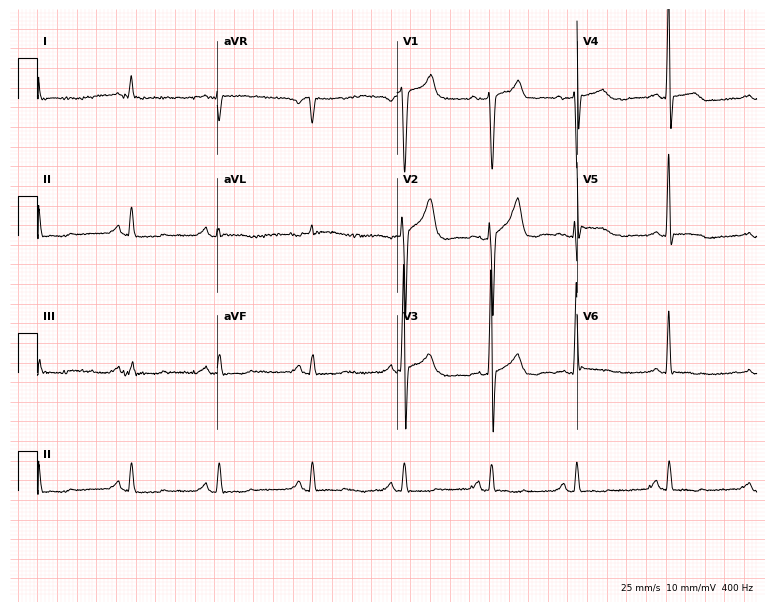
ECG — a 77-year-old female patient. Screened for six findings — first-degree AV block, right bundle branch block, left bundle branch block, sinus bradycardia, atrial fibrillation, sinus tachycardia — none is recorded. Findings outside these six are not listed.